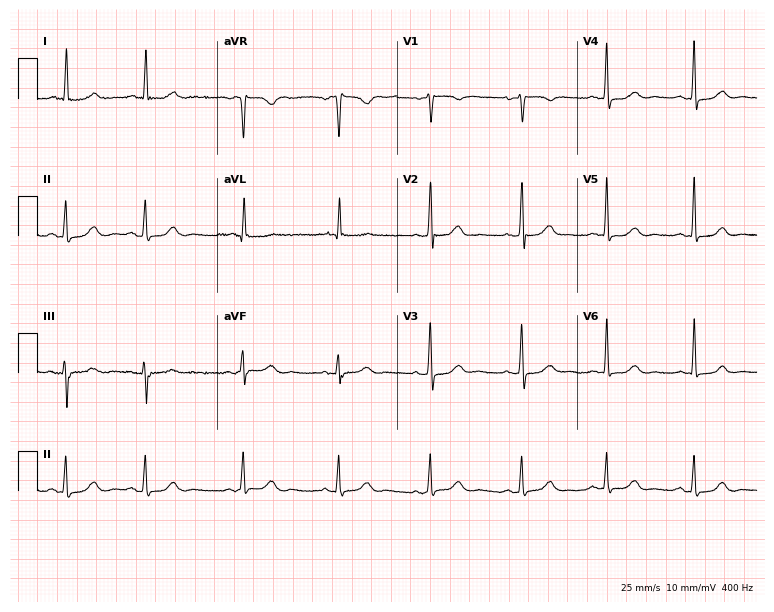
Standard 12-lead ECG recorded from a 73-year-old woman. Read as a normal ECG.